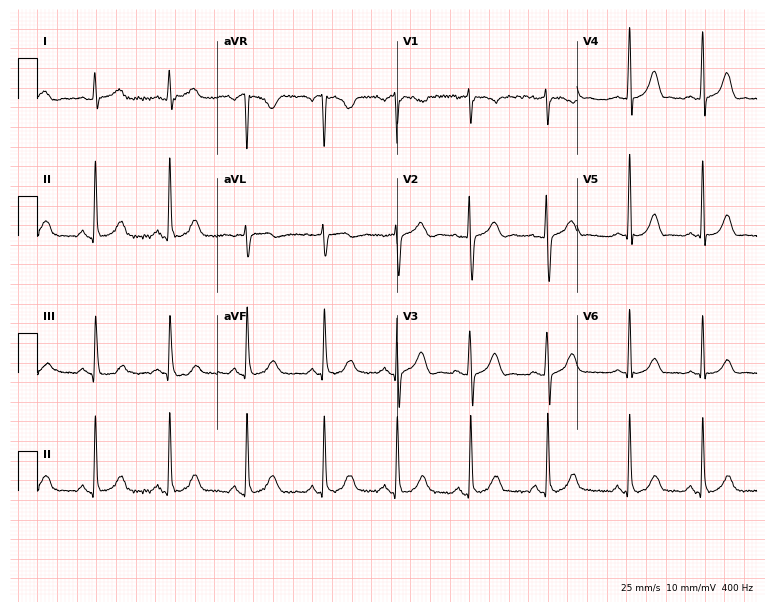
Electrocardiogram, a woman, 28 years old. Overall reading on record: normal ECG.